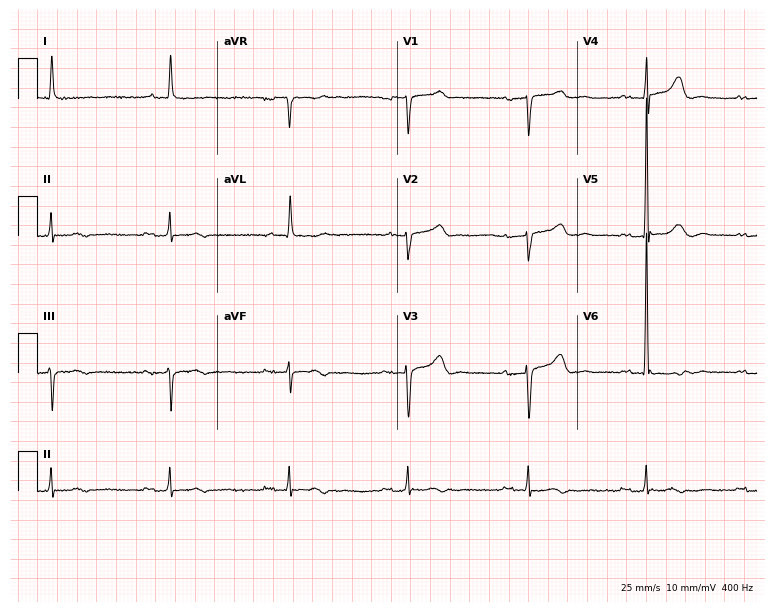
Standard 12-lead ECG recorded from a 78-year-old female. The tracing shows first-degree AV block, sinus bradycardia (a sinus rate of 50 beats per minute or less).